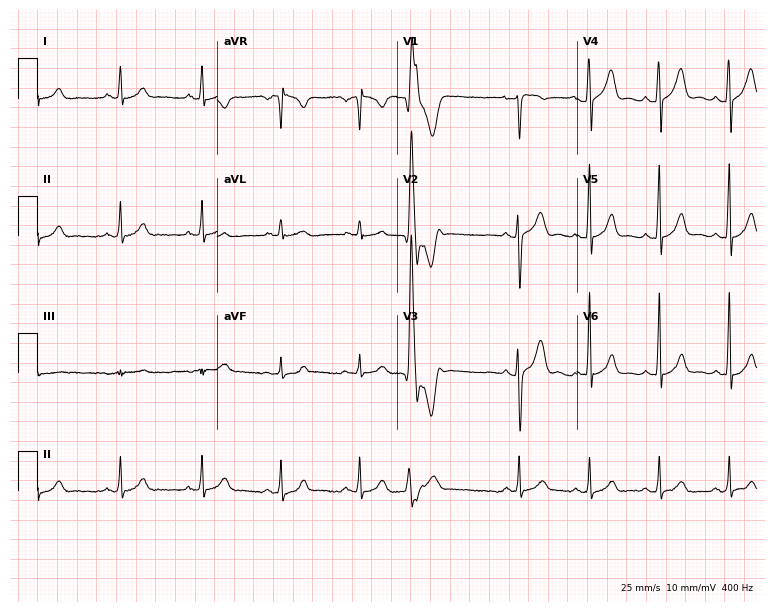
Electrocardiogram, a male, 26 years old. Of the six screened findings (first-degree AV block, right bundle branch block, left bundle branch block, sinus bradycardia, atrial fibrillation, sinus tachycardia), none is recorded.